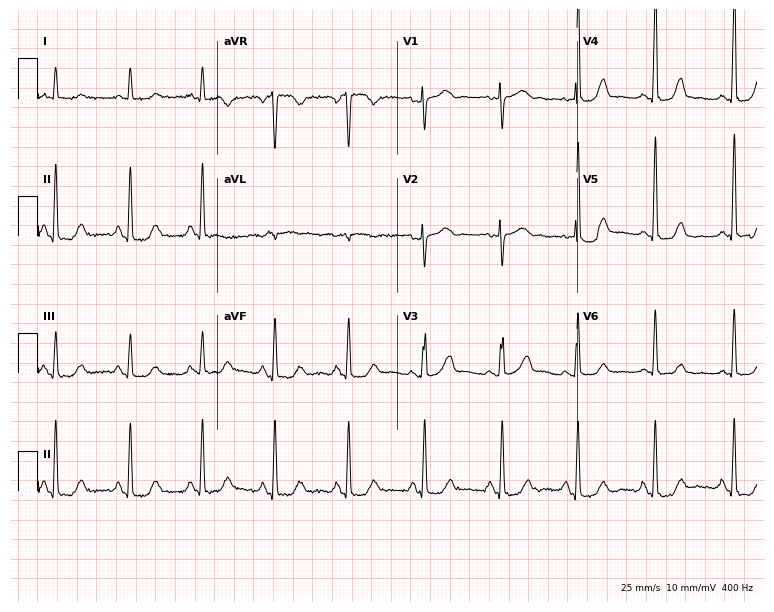
12-lead ECG from a female, 78 years old. Screened for six findings — first-degree AV block, right bundle branch block, left bundle branch block, sinus bradycardia, atrial fibrillation, sinus tachycardia — none is recorded.